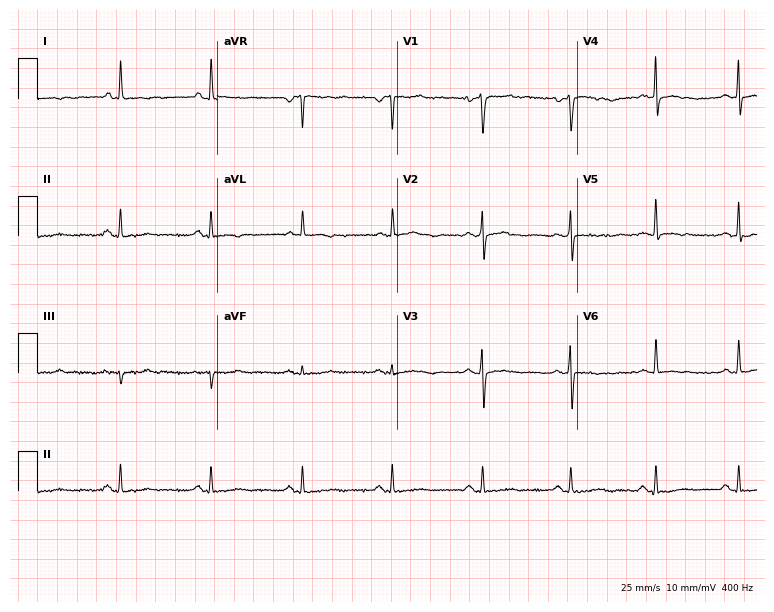
12-lead ECG (7.3-second recording at 400 Hz) from a 41-year-old woman. Labelled as a normal ECG.